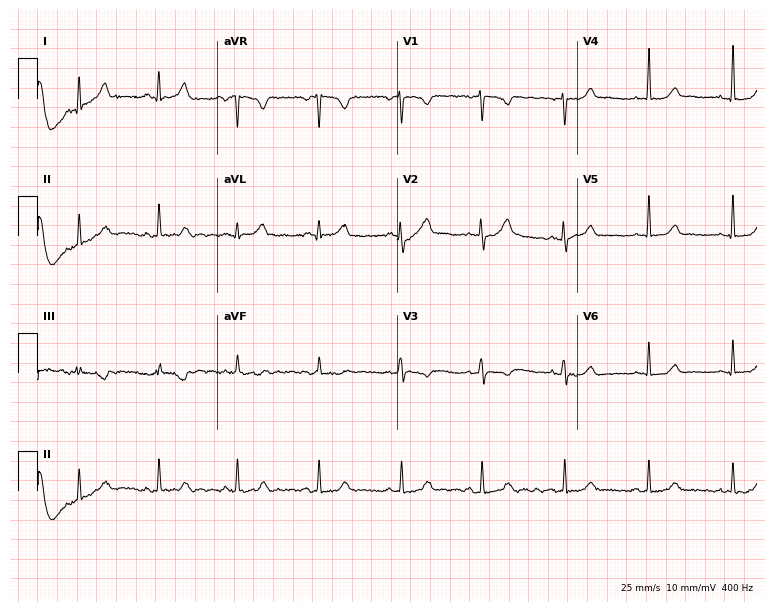
ECG (7.3-second recording at 400 Hz) — a 20-year-old female patient. Screened for six findings — first-degree AV block, right bundle branch block, left bundle branch block, sinus bradycardia, atrial fibrillation, sinus tachycardia — none is recorded. Other findings, if any, are not listed.